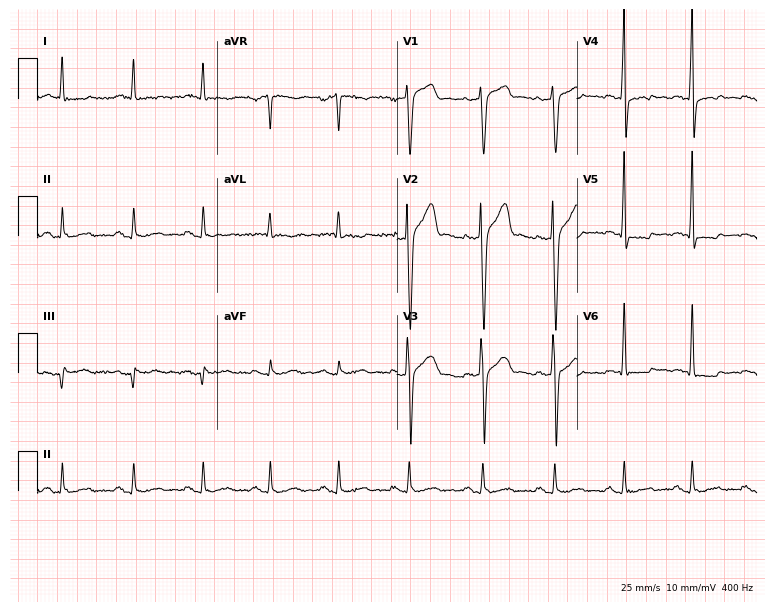
Resting 12-lead electrocardiogram (7.3-second recording at 400 Hz). Patient: a male, 37 years old. None of these six findings is recorded: first-degree AV block, right bundle branch block, left bundle branch block, sinus bradycardia, atrial fibrillation, sinus tachycardia. Only these six findings were labelled.